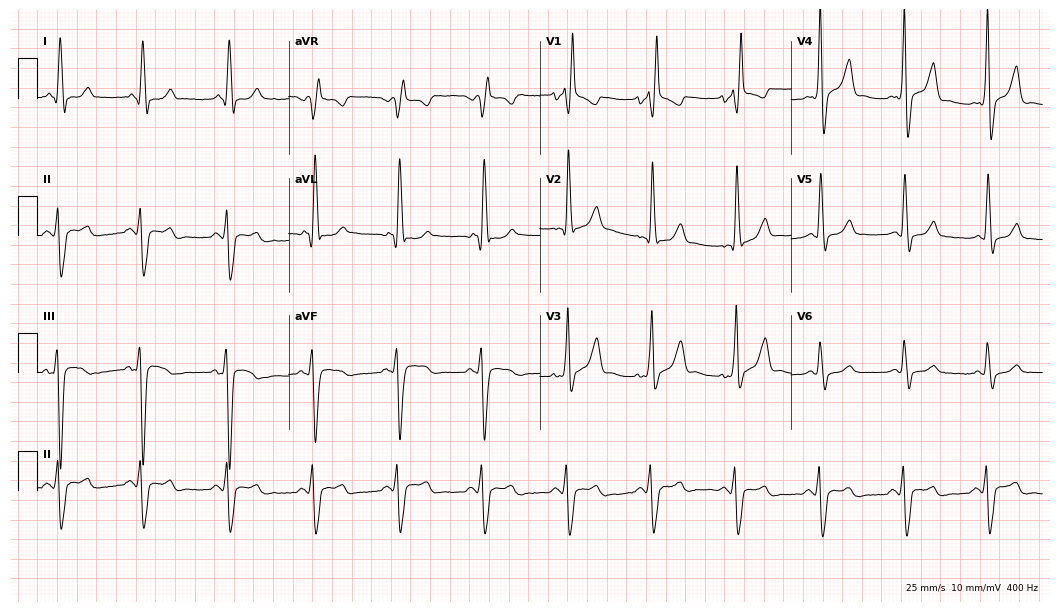
Standard 12-lead ECG recorded from an 80-year-old male patient (10.2-second recording at 400 Hz). The tracing shows right bundle branch block.